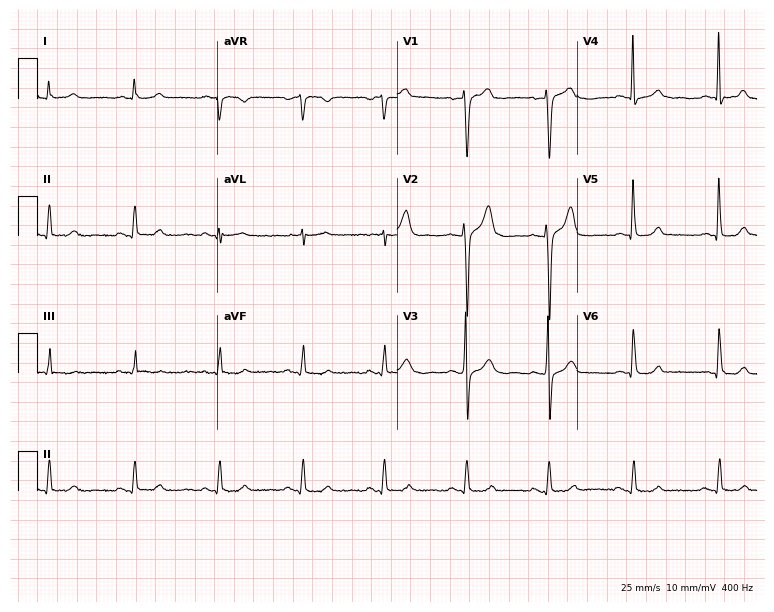
ECG (7.3-second recording at 400 Hz) — a male, 45 years old. Labelled as a normal ECG.